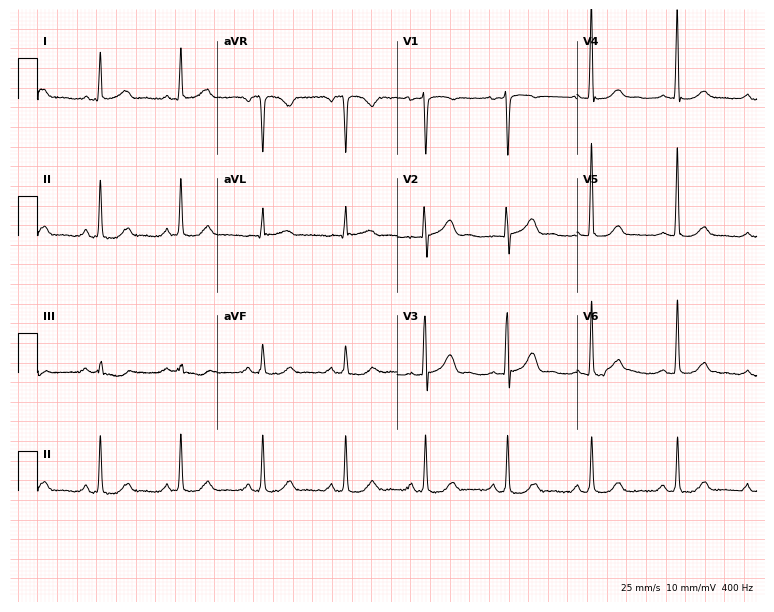
Electrocardiogram (7.3-second recording at 400 Hz), a 63-year-old woman. Overall reading on record: normal ECG.